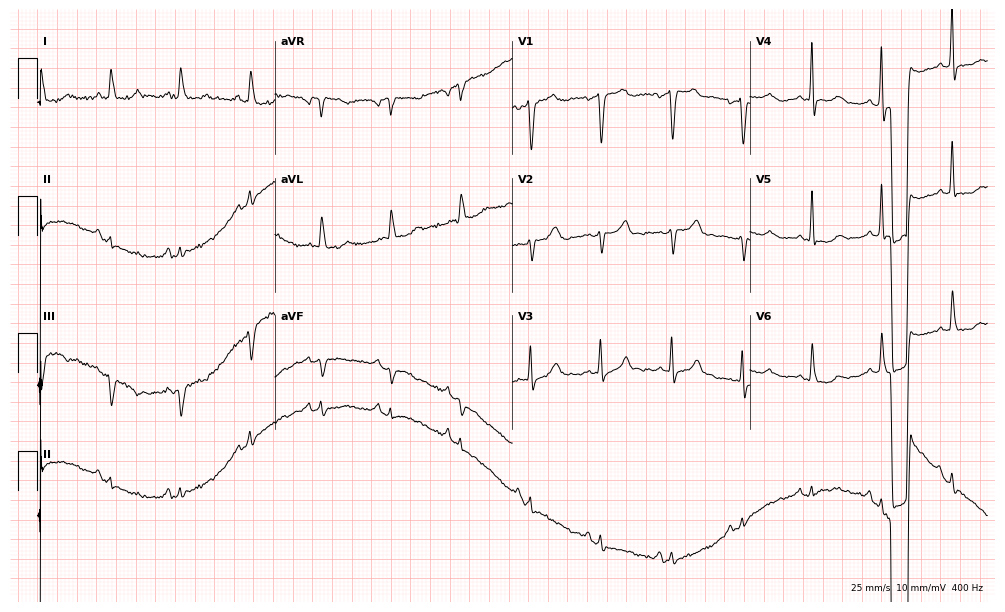
Standard 12-lead ECG recorded from a female, 84 years old. None of these six findings is recorded: first-degree AV block, right bundle branch block, left bundle branch block, sinus bradycardia, atrial fibrillation, sinus tachycardia.